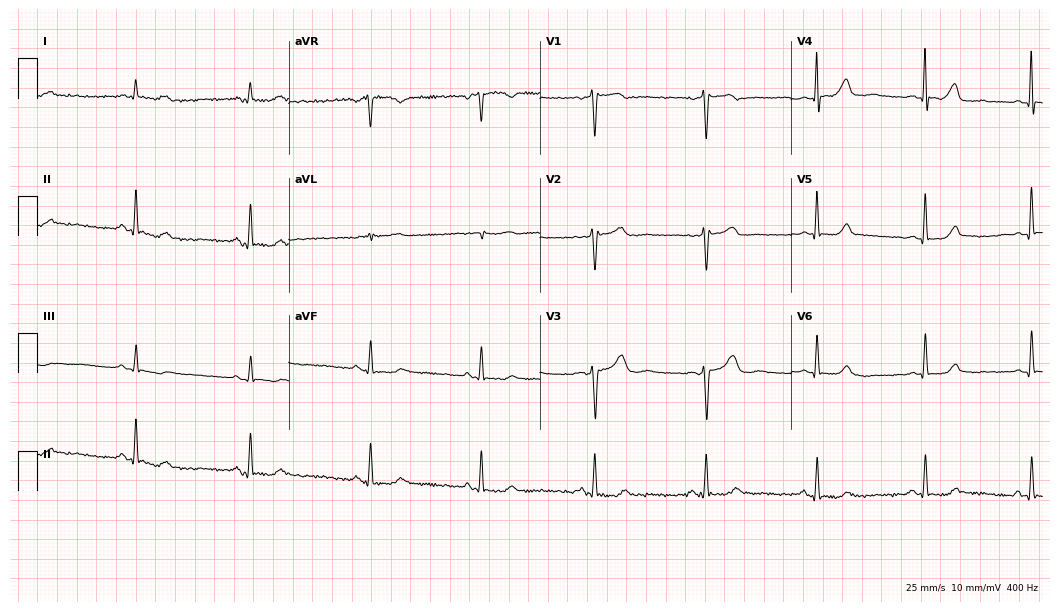
12-lead ECG from a 49-year-old woman (10.2-second recording at 400 Hz). No first-degree AV block, right bundle branch block, left bundle branch block, sinus bradycardia, atrial fibrillation or sinus tachycardia recorded for this tracing.